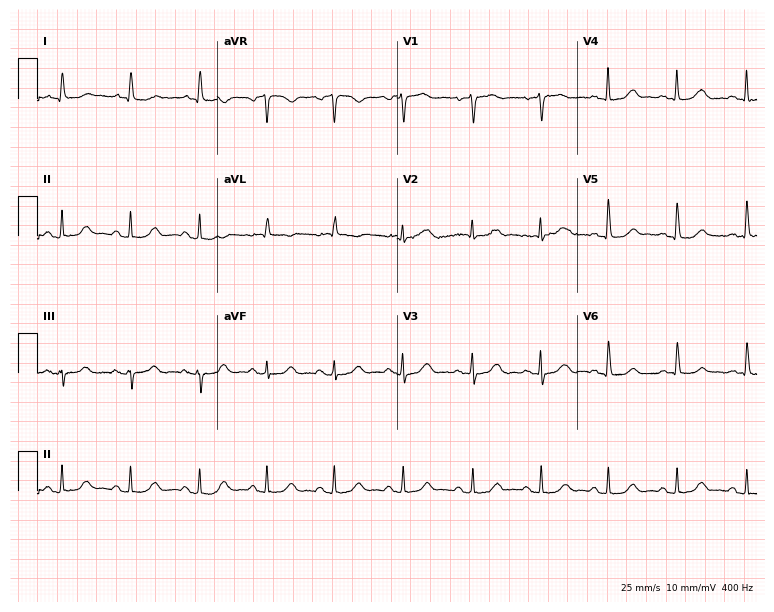
Electrocardiogram, a 76-year-old woman. Of the six screened findings (first-degree AV block, right bundle branch block (RBBB), left bundle branch block (LBBB), sinus bradycardia, atrial fibrillation (AF), sinus tachycardia), none is recorded.